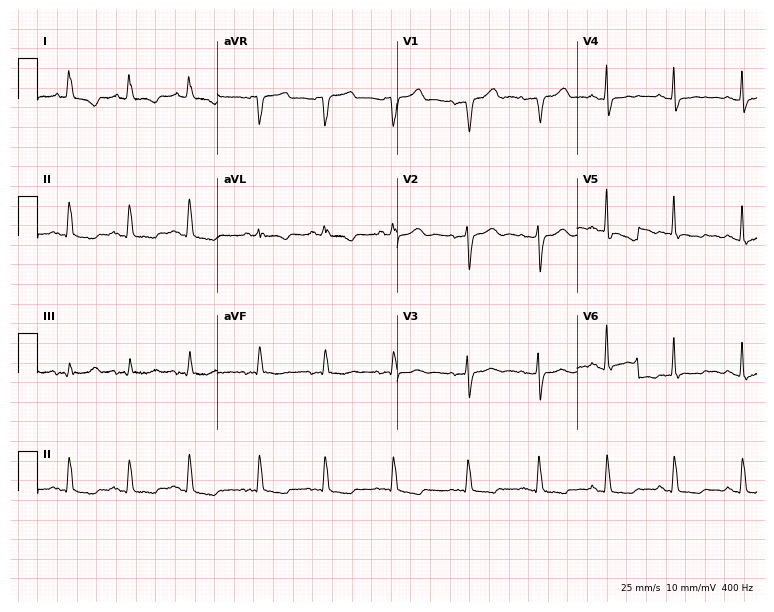
12-lead ECG from a female, 79 years old (7.3-second recording at 400 Hz). No first-degree AV block, right bundle branch block, left bundle branch block, sinus bradycardia, atrial fibrillation or sinus tachycardia recorded for this tracing.